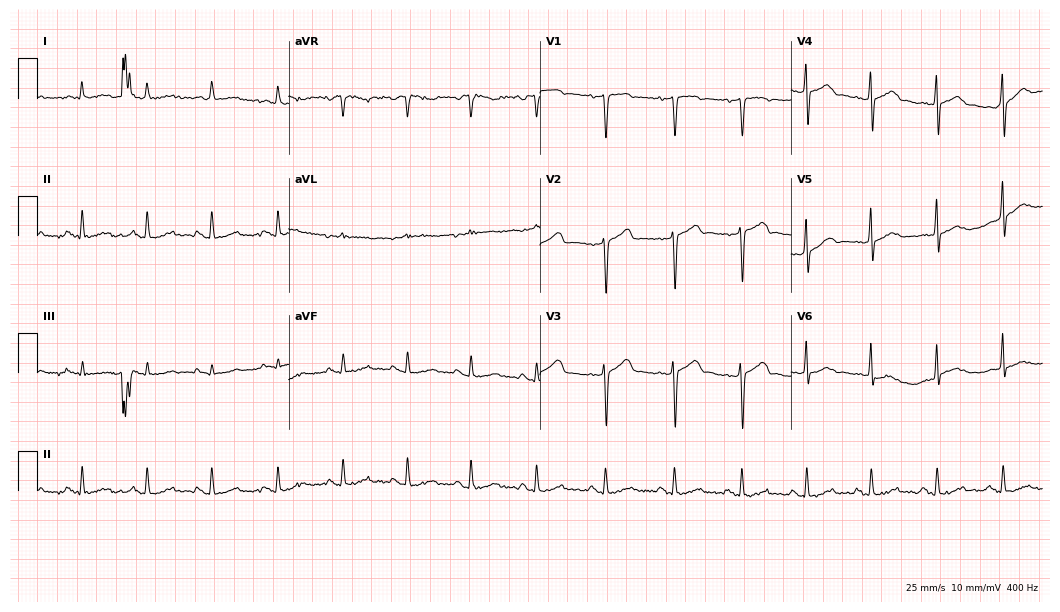
Electrocardiogram, a male, 64 years old. Of the six screened findings (first-degree AV block, right bundle branch block, left bundle branch block, sinus bradycardia, atrial fibrillation, sinus tachycardia), none is recorded.